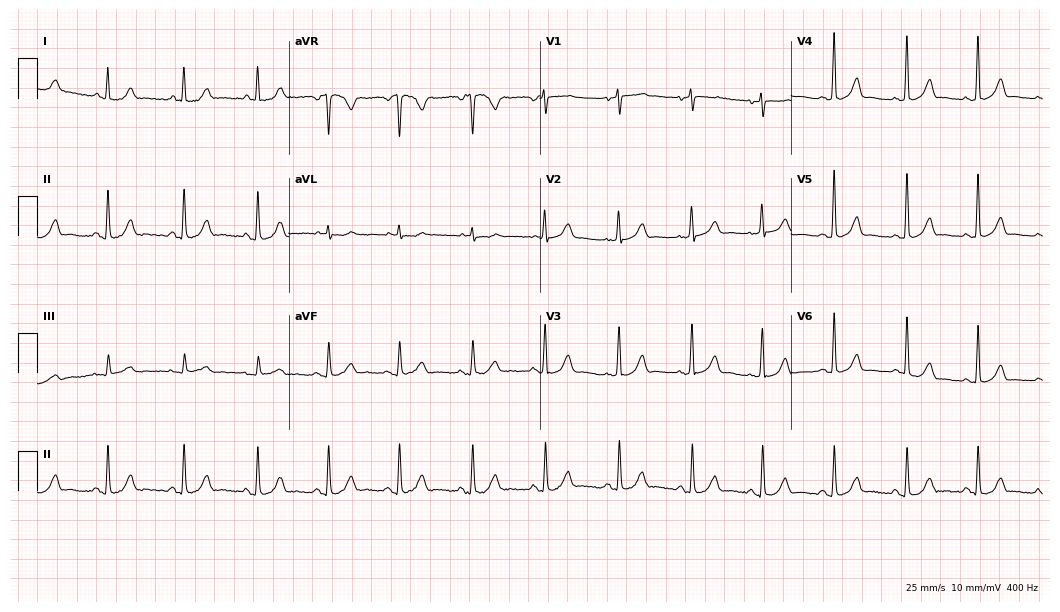
Electrocardiogram (10.2-second recording at 400 Hz), a female patient, 36 years old. Overall reading on record: normal ECG.